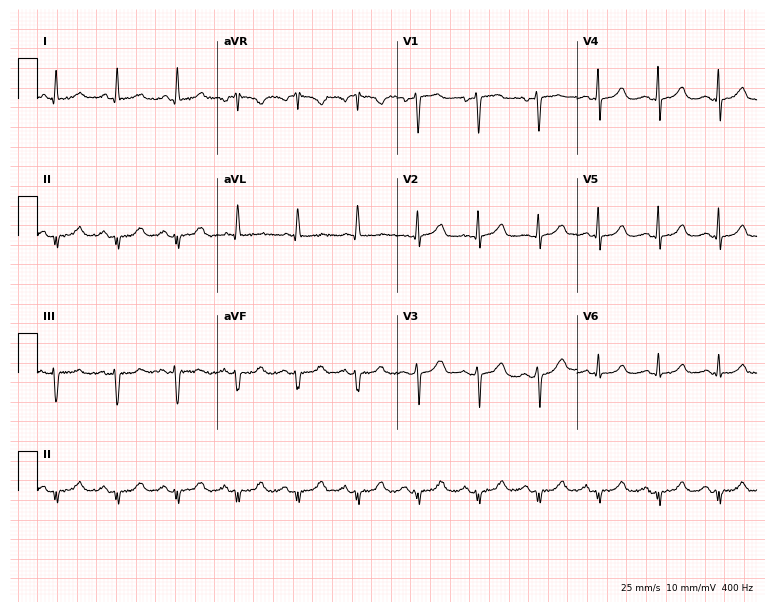
12-lead ECG from a woman, 58 years old. Screened for six findings — first-degree AV block, right bundle branch block, left bundle branch block, sinus bradycardia, atrial fibrillation, sinus tachycardia — none is recorded.